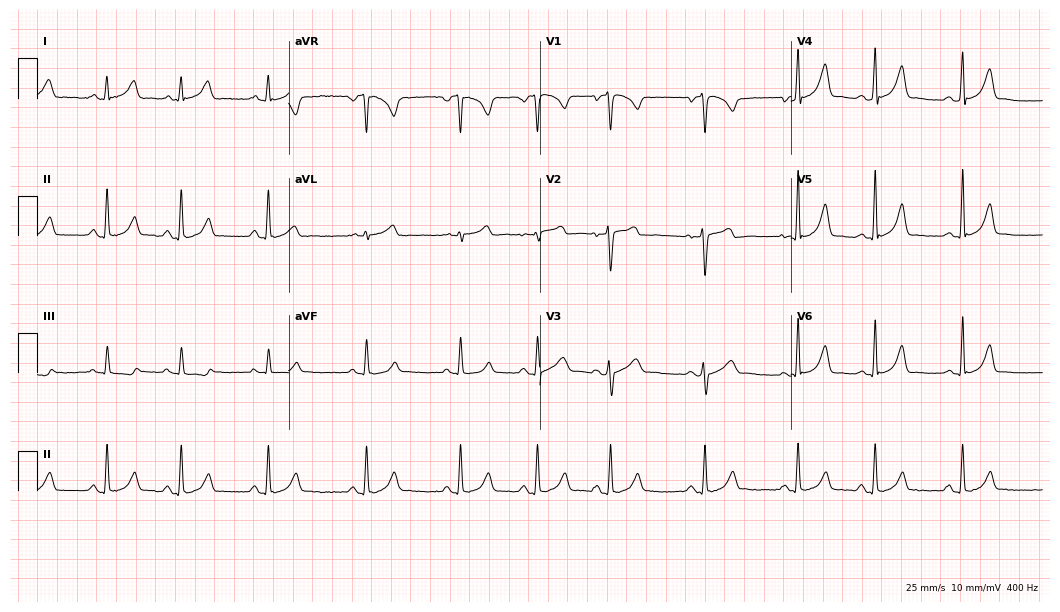
12-lead ECG from a female patient, 23 years old. Labelled as a normal ECG.